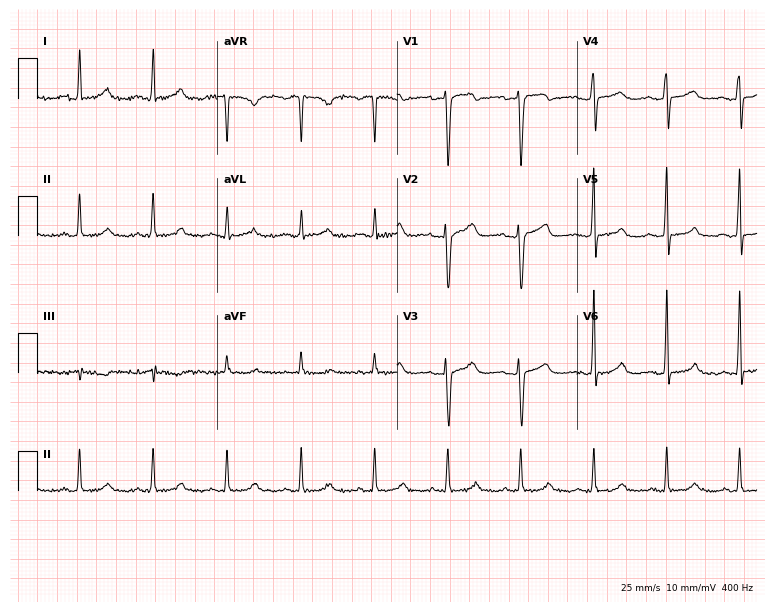
12-lead ECG from a 67-year-old female. Recorded interpretation: within normal limits.